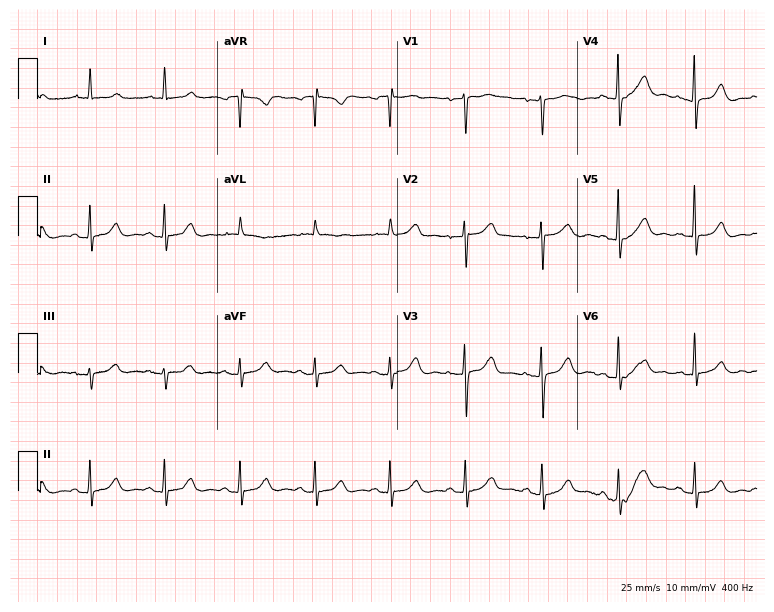
12-lead ECG from a female patient, 70 years old. Labelled as a normal ECG.